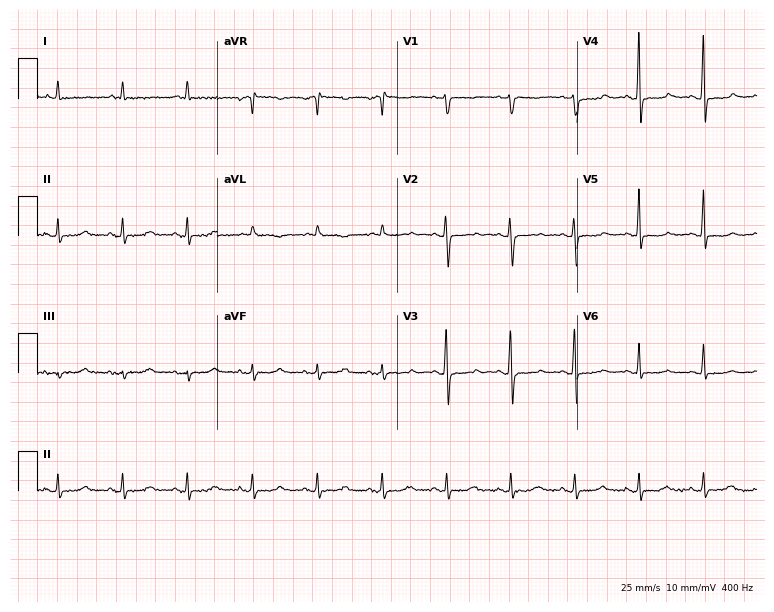
Standard 12-lead ECG recorded from a female patient, 69 years old. None of these six findings is recorded: first-degree AV block, right bundle branch block, left bundle branch block, sinus bradycardia, atrial fibrillation, sinus tachycardia. Other findings, if any, are not listed.